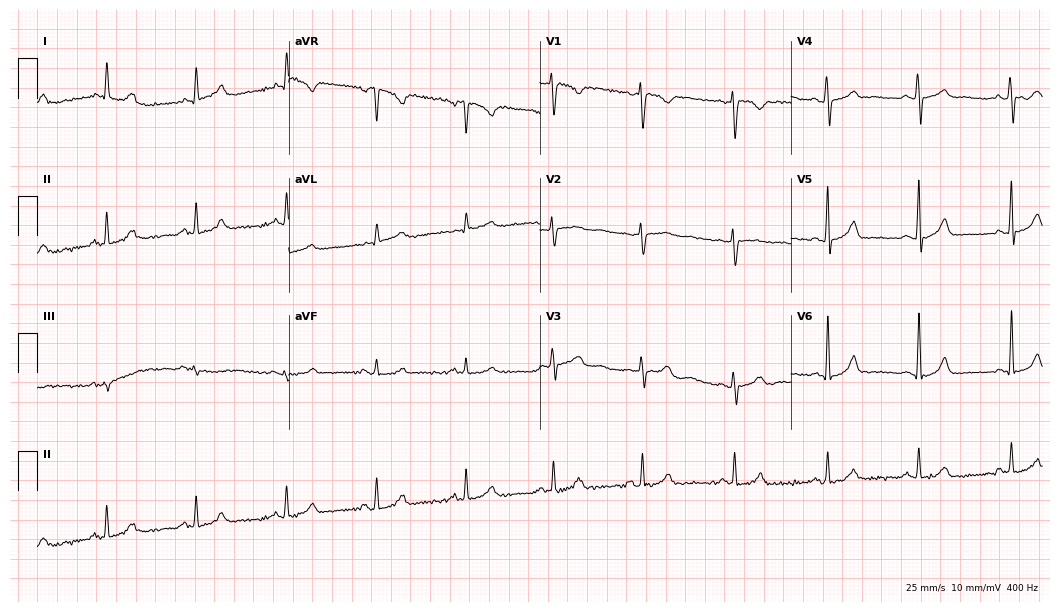
ECG (10.2-second recording at 400 Hz) — a woman, 44 years old. Labelled as a normal ECG.